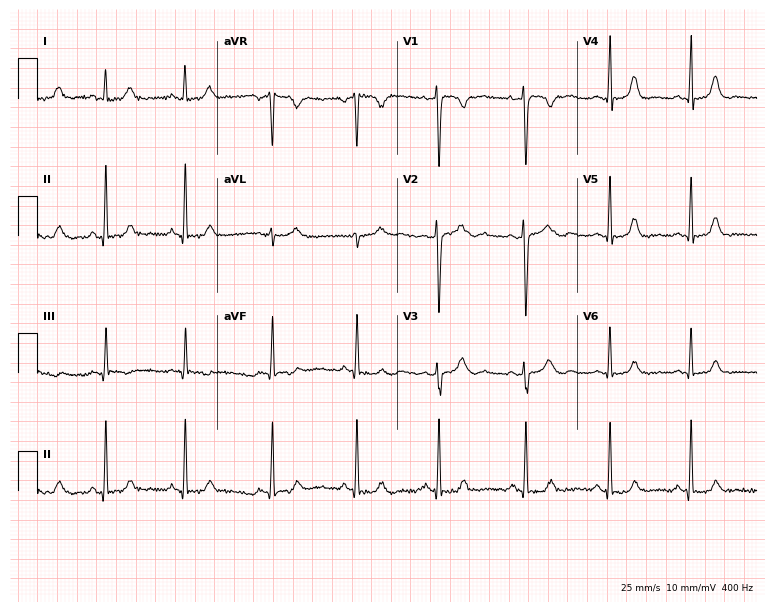
Resting 12-lead electrocardiogram (7.3-second recording at 400 Hz). Patient: a 30-year-old female. None of these six findings is recorded: first-degree AV block, right bundle branch block, left bundle branch block, sinus bradycardia, atrial fibrillation, sinus tachycardia.